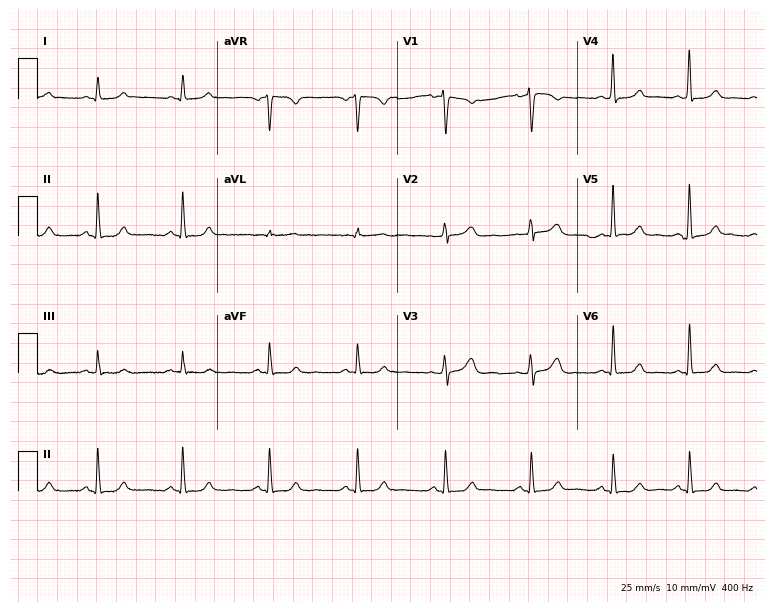
12-lead ECG from a female patient, 45 years old. Labelled as a normal ECG.